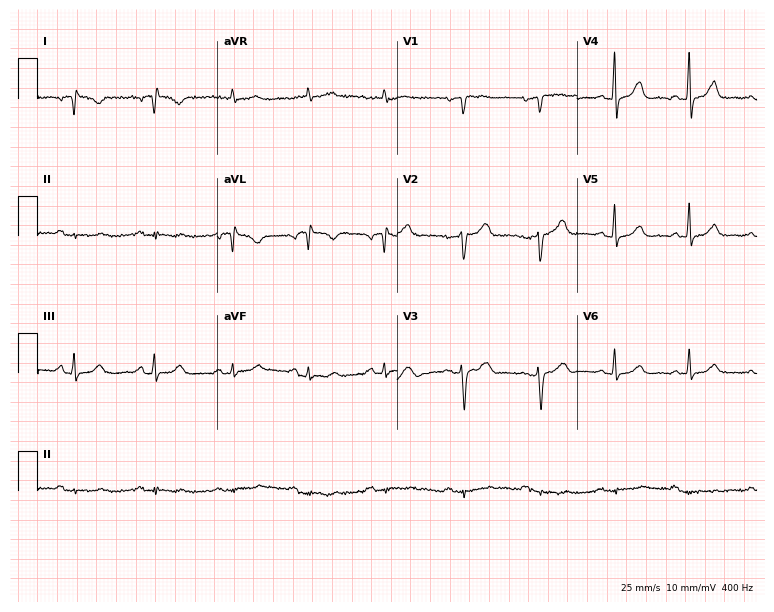
Electrocardiogram, a 53-year-old female. Of the six screened findings (first-degree AV block, right bundle branch block, left bundle branch block, sinus bradycardia, atrial fibrillation, sinus tachycardia), none is recorded.